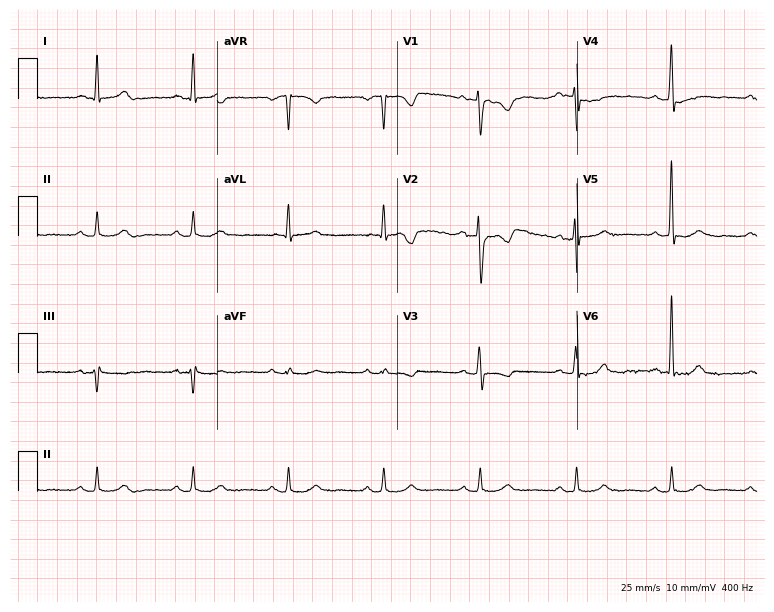
Electrocardiogram, a 57-year-old female patient. Of the six screened findings (first-degree AV block, right bundle branch block (RBBB), left bundle branch block (LBBB), sinus bradycardia, atrial fibrillation (AF), sinus tachycardia), none is recorded. Other findings, if any, are not listed.